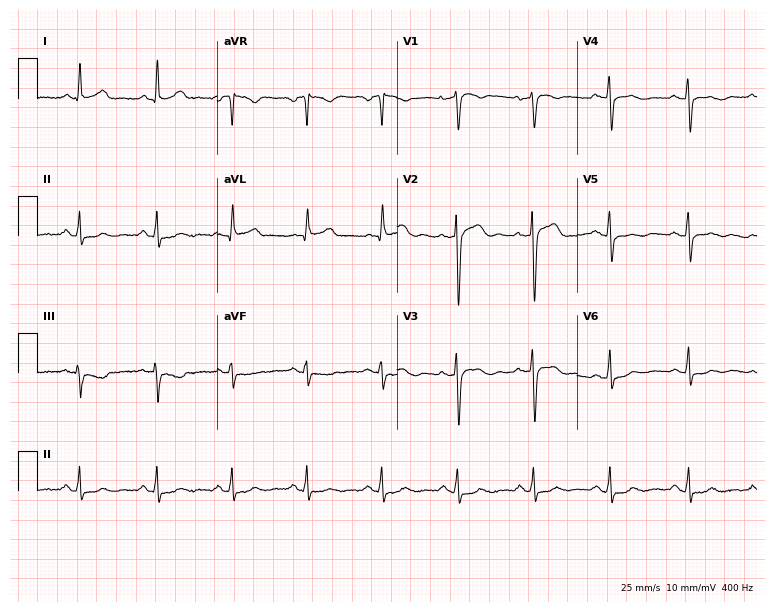
Electrocardiogram (7.3-second recording at 400 Hz), a 41-year-old female patient. Overall reading on record: normal ECG.